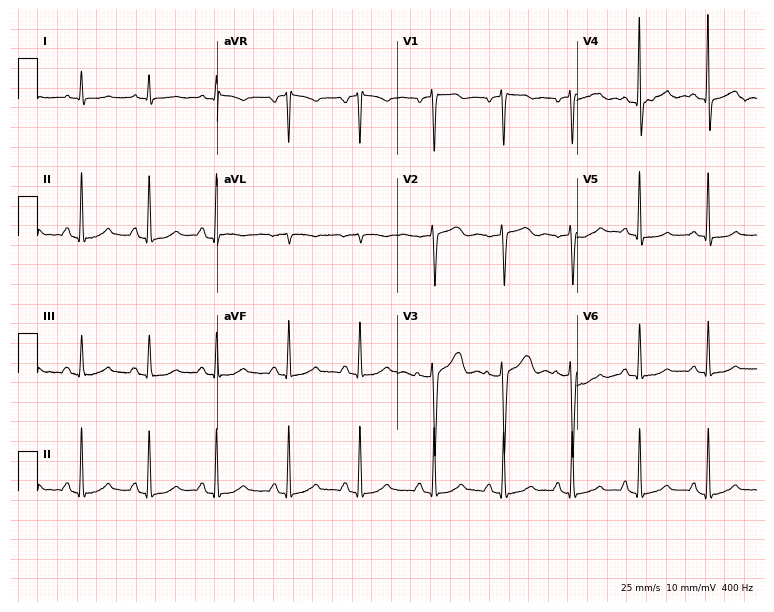
Electrocardiogram (7.3-second recording at 400 Hz), a female patient, 52 years old. Of the six screened findings (first-degree AV block, right bundle branch block, left bundle branch block, sinus bradycardia, atrial fibrillation, sinus tachycardia), none is recorded.